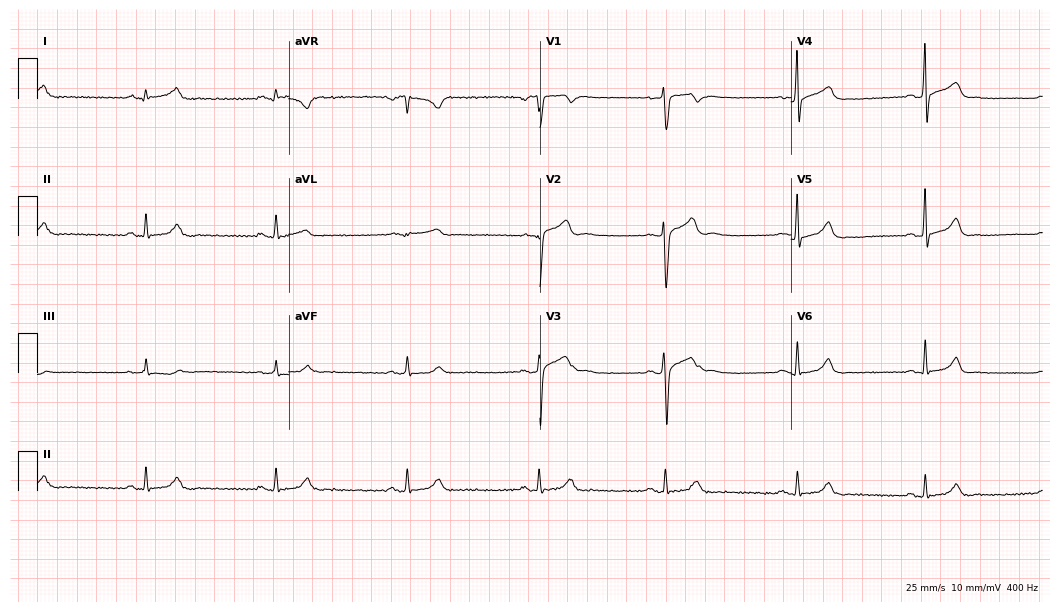
Electrocardiogram, a 33-year-old male. Interpretation includes sinus bradycardia (a sinus rate of 50 beats per minute or less).